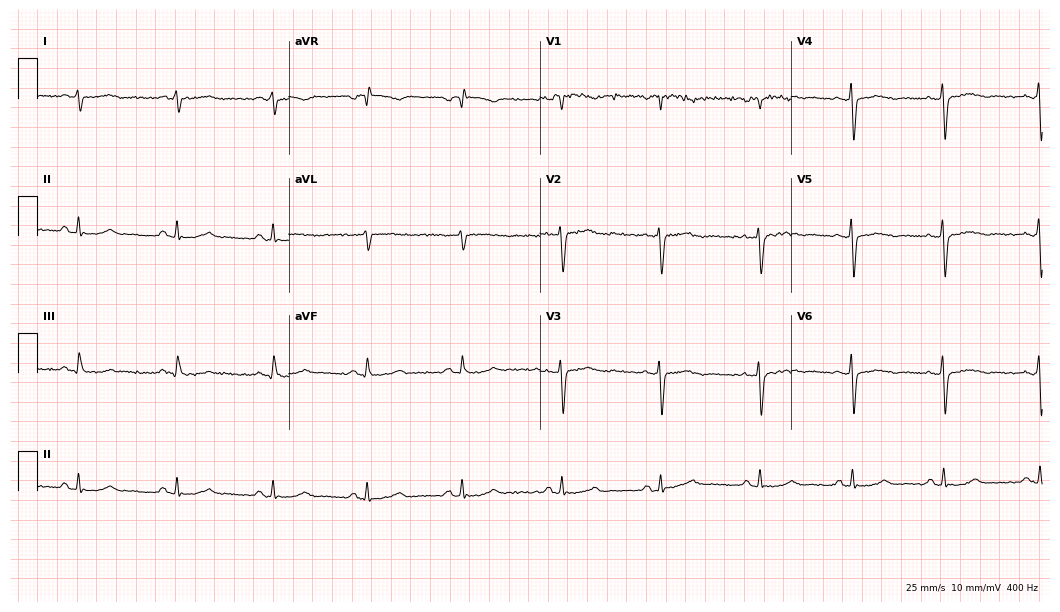
Standard 12-lead ECG recorded from a man, 47 years old (10.2-second recording at 400 Hz). None of these six findings is recorded: first-degree AV block, right bundle branch block, left bundle branch block, sinus bradycardia, atrial fibrillation, sinus tachycardia. Findings outside these six are not listed.